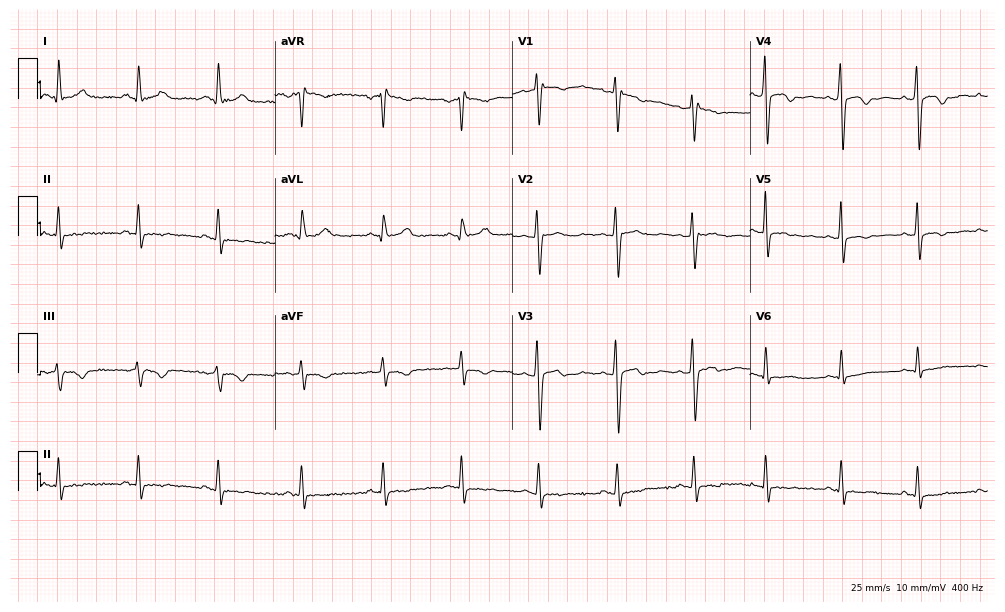
Resting 12-lead electrocardiogram (9.7-second recording at 400 Hz). Patient: a male, 33 years old. None of these six findings is recorded: first-degree AV block, right bundle branch block, left bundle branch block, sinus bradycardia, atrial fibrillation, sinus tachycardia.